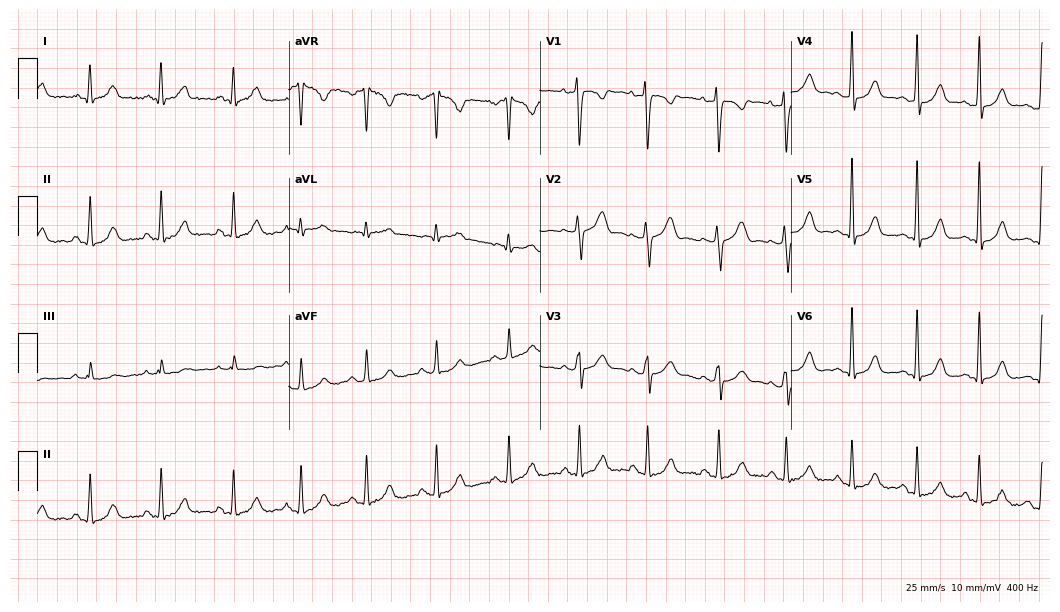
Electrocardiogram, a 33-year-old woman. Overall reading on record: normal ECG.